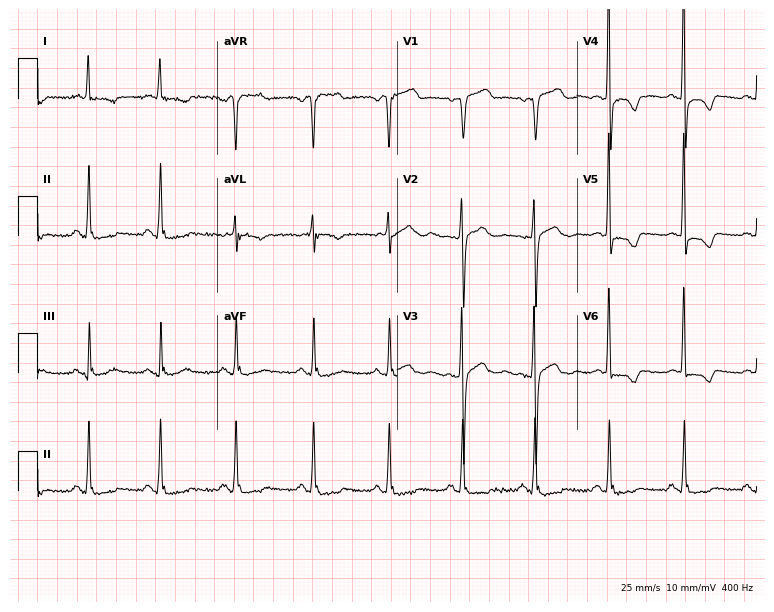
Resting 12-lead electrocardiogram (7.3-second recording at 400 Hz). Patient: a female, 47 years old. None of these six findings is recorded: first-degree AV block, right bundle branch block, left bundle branch block, sinus bradycardia, atrial fibrillation, sinus tachycardia.